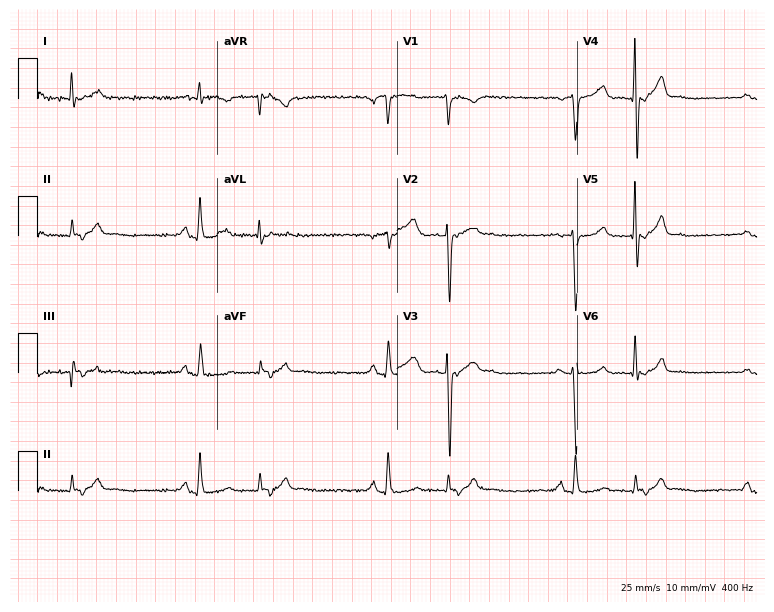
12-lead ECG (7.3-second recording at 400 Hz) from a 64-year-old male. Screened for six findings — first-degree AV block, right bundle branch block, left bundle branch block, sinus bradycardia, atrial fibrillation, sinus tachycardia — none is recorded. Only these six findings were labelled.